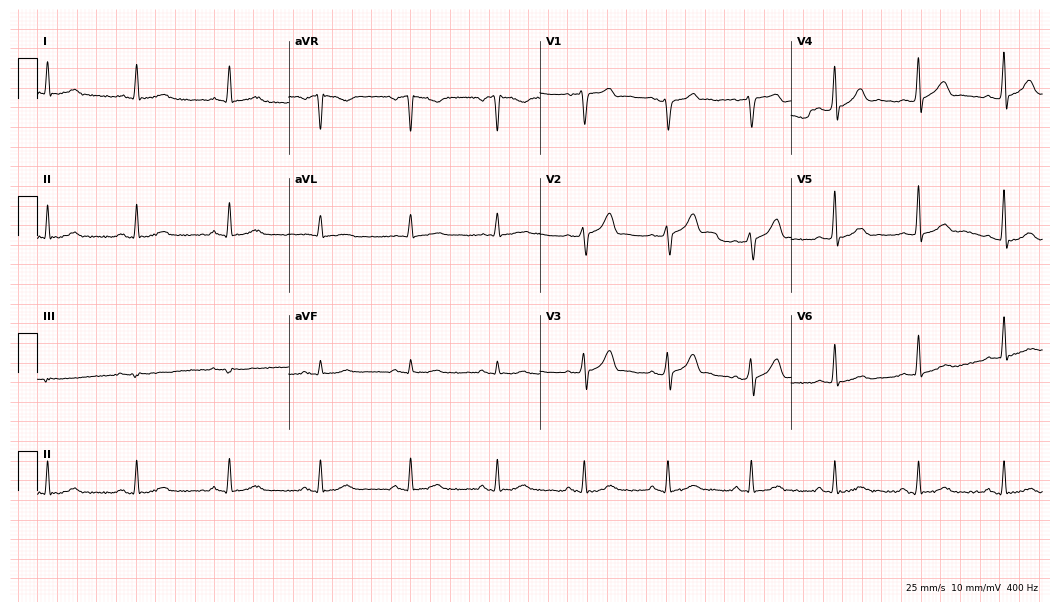
ECG (10.2-second recording at 400 Hz) — a 35-year-old male patient. Screened for six findings — first-degree AV block, right bundle branch block, left bundle branch block, sinus bradycardia, atrial fibrillation, sinus tachycardia — none is recorded. Other findings, if any, are not listed.